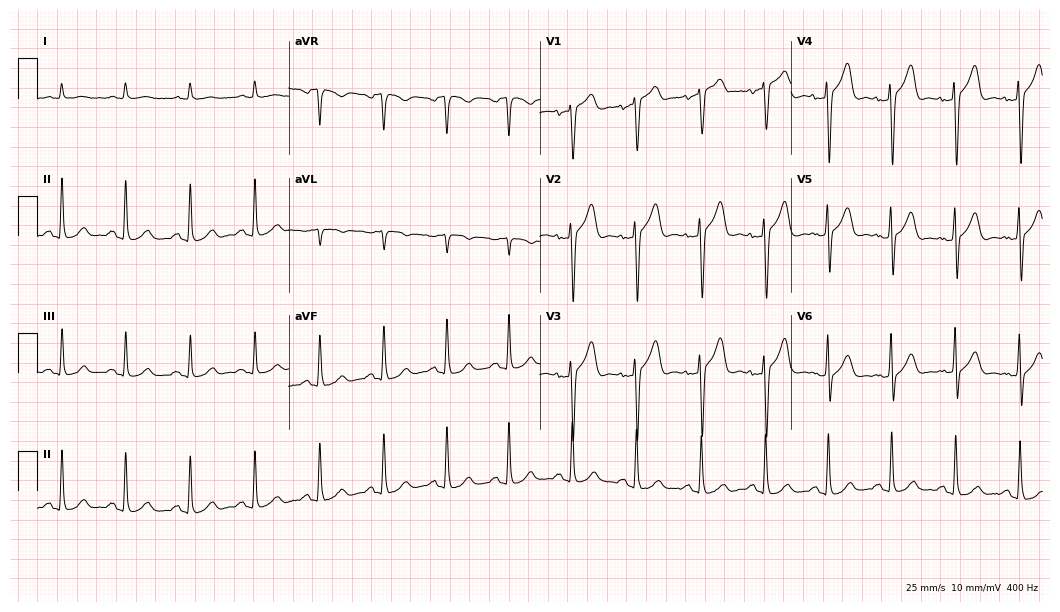
Standard 12-lead ECG recorded from a man, 75 years old (10.2-second recording at 400 Hz). Read as a normal ECG.